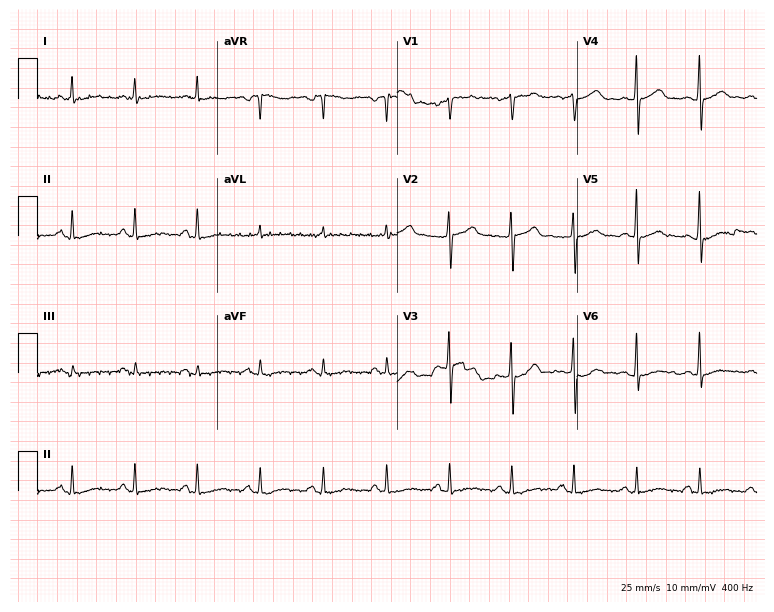
ECG — a man, 68 years old. Screened for six findings — first-degree AV block, right bundle branch block, left bundle branch block, sinus bradycardia, atrial fibrillation, sinus tachycardia — none is recorded. Other findings, if any, are not listed.